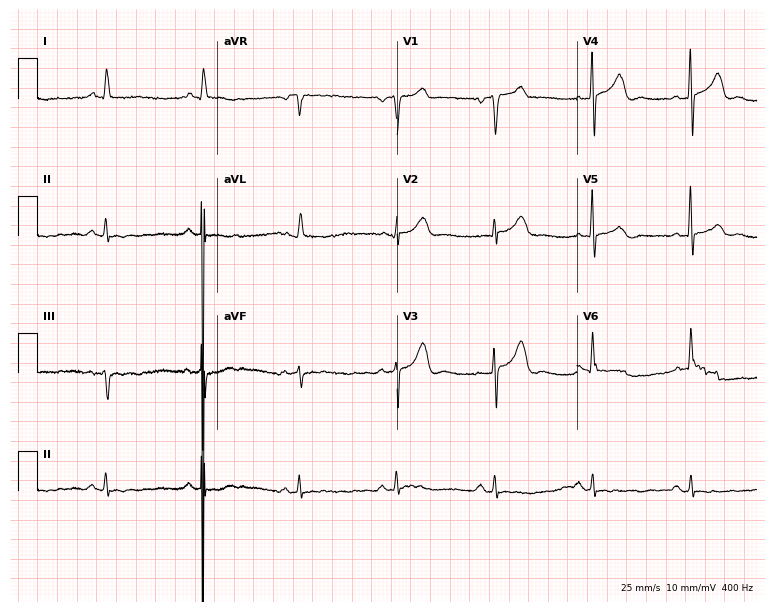
12-lead ECG (7.3-second recording at 400 Hz) from a male, 85 years old. Labelled as a normal ECG.